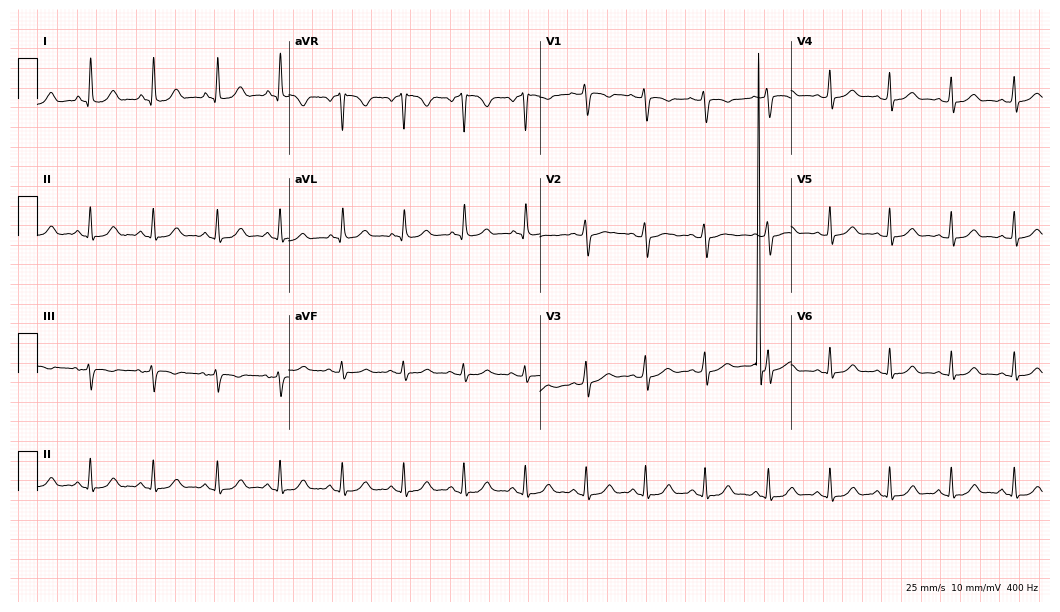
12-lead ECG from a female patient, 24 years old (10.2-second recording at 400 Hz). Recorded interpretation: within normal limits.